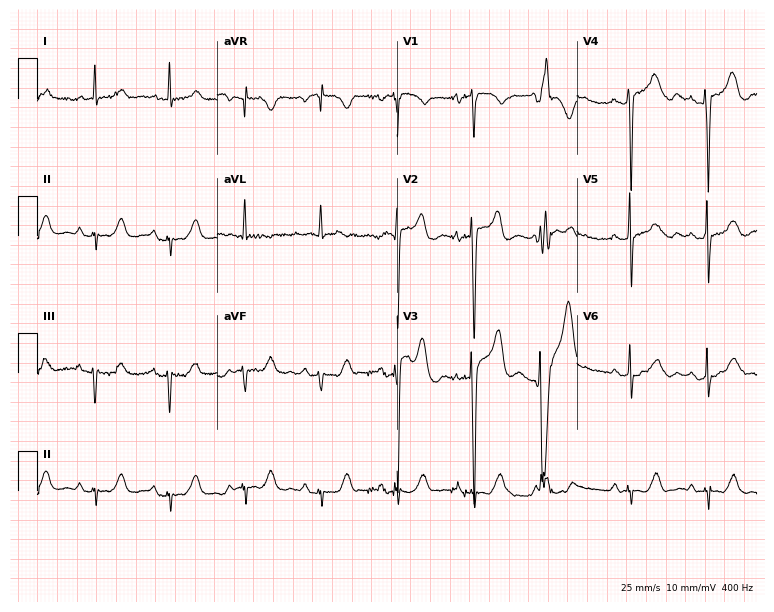
Resting 12-lead electrocardiogram. Patient: a female, 82 years old. None of these six findings is recorded: first-degree AV block, right bundle branch block (RBBB), left bundle branch block (LBBB), sinus bradycardia, atrial fibrillation (AF), sinus tachycardia.